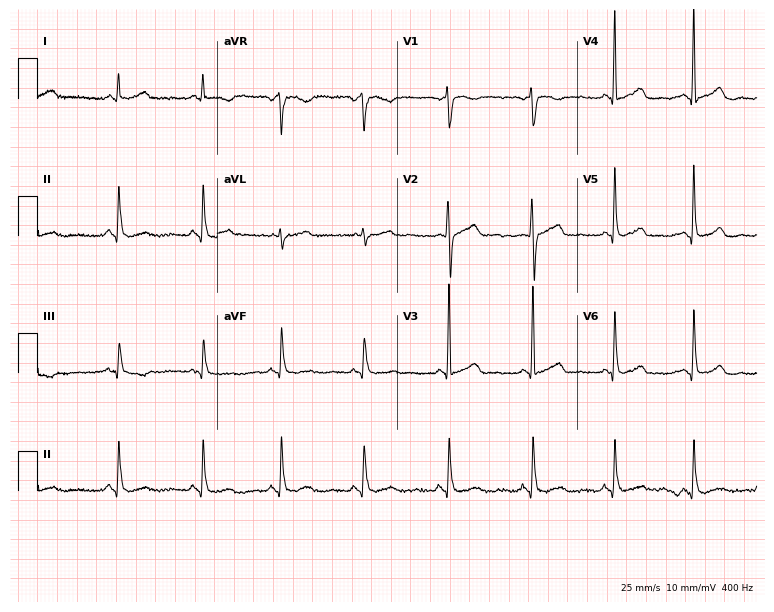
Resting 12-lead electrocardiogram. Patient: a female, 46 years old. Read as a normal ECG.